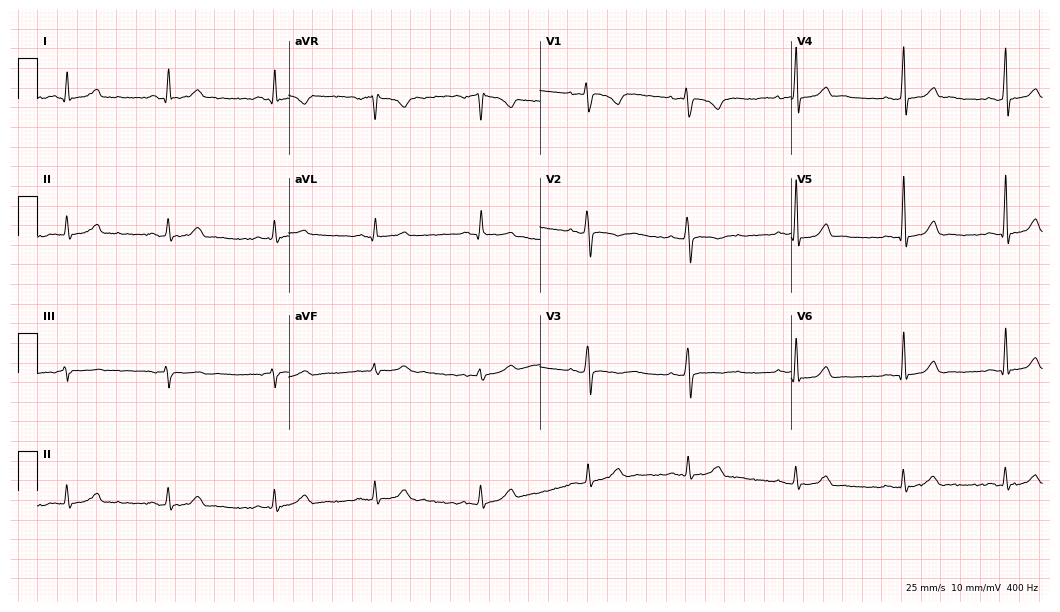
Standard 12-lead ECG recorded from a 32-year-old female patient (10.2-second recording at 400 Hz). Read as a normal ECG.